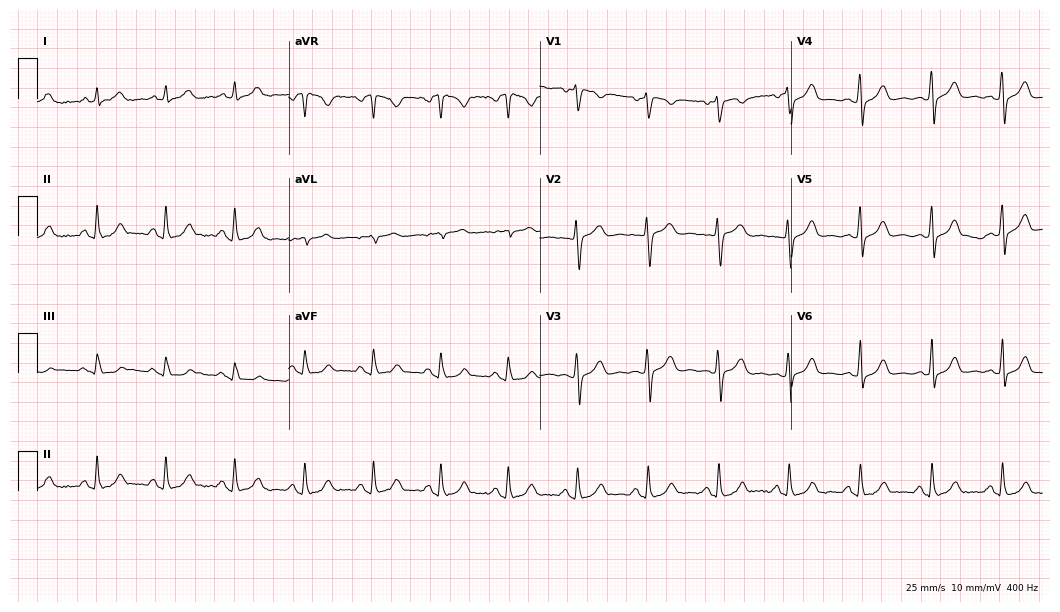
Electrocardiogram (10.2-second recording at 400 Hz), a female patient, 43 years old. Overall reading on record: normal ECG.